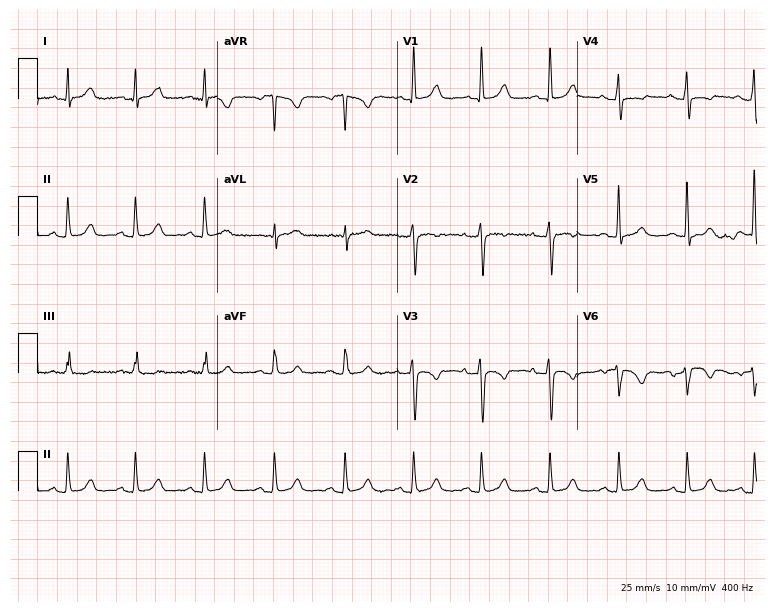
ECG (7.3-second recording at 400 Hz) — a 31-year-old female patient. Screened for six findings — first-degree AV block, right bundle branch block, left bundle branch block, sinus bradycardia, atrial fibrillation, sinus tachycardia — none is recorded.